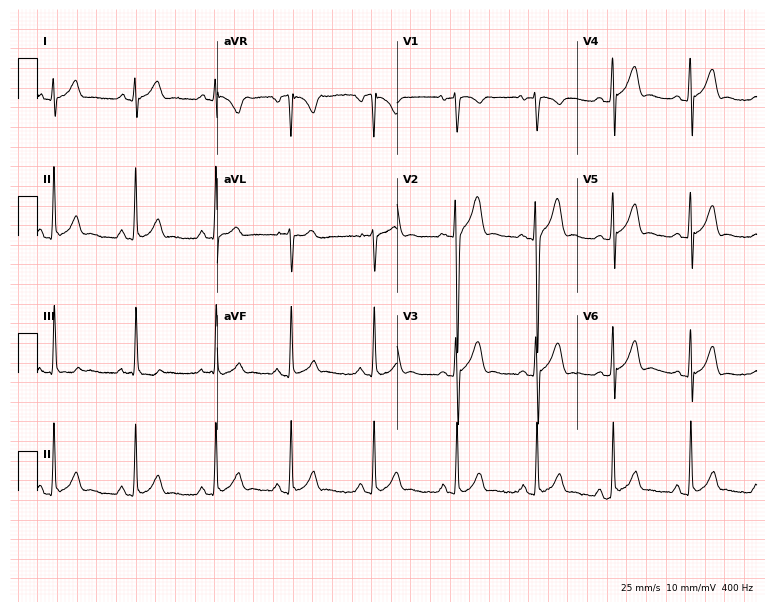
Standard 12-lead ECG recorded from a 17-year-old male patient (7.3-second recording at 400 Hz). None of these six findings is recorded: first-degree AV block, right bundle branch block, left bundle branch block, sinus bradycardia, atrial fibrillation, sinus tachycardia.